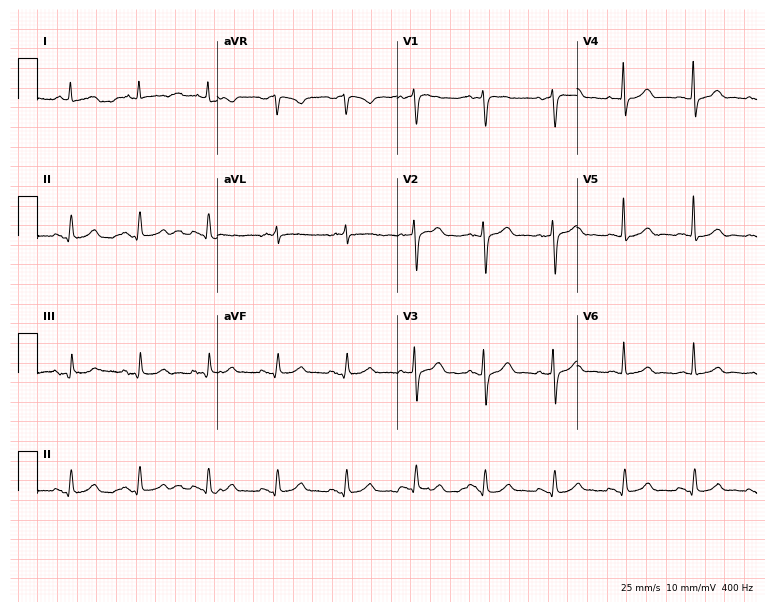
ECG (7.3-second recording at 400 Hz) — a male patient, 63 years old. Labelled as a normal ECG.